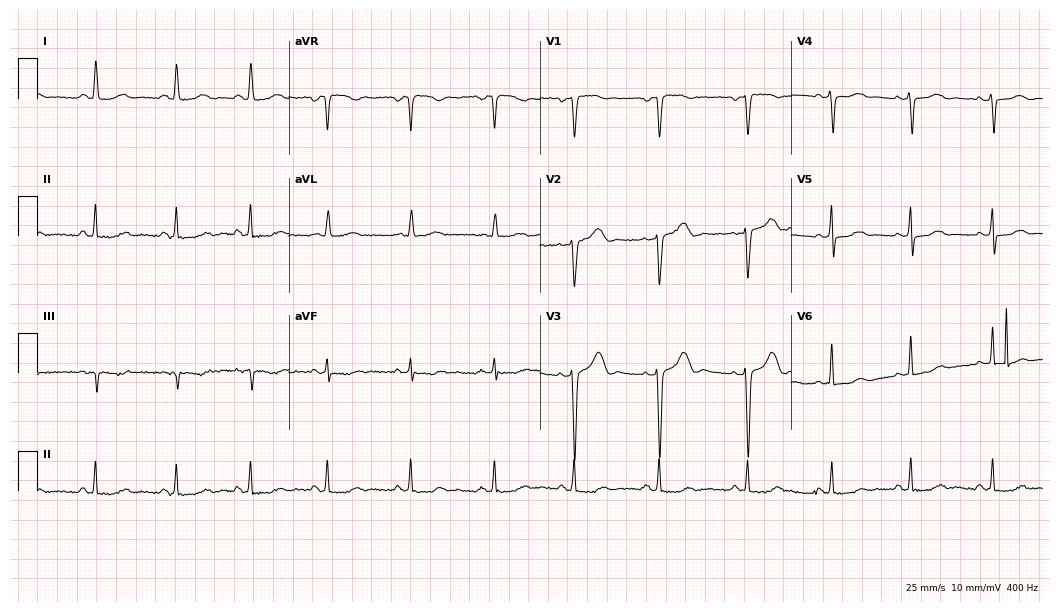
Electrocardiogram (10.2-second recording at 400 Hz), a female patient, 27 years old. Of the six screened findings (first-degree AV block, right bundle branch block, left bundle branch block, sinus bradycardia, atrial fibrillation, sinus tachycardia), none is recorded.